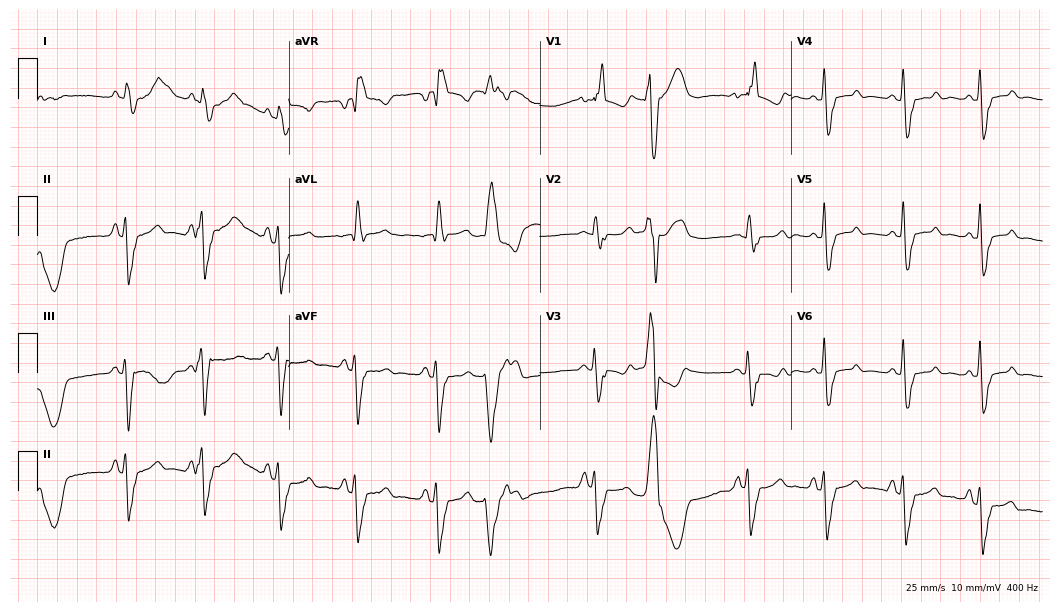
12-lead ECG from a female, 59 years old. Shows right bundle branch block.